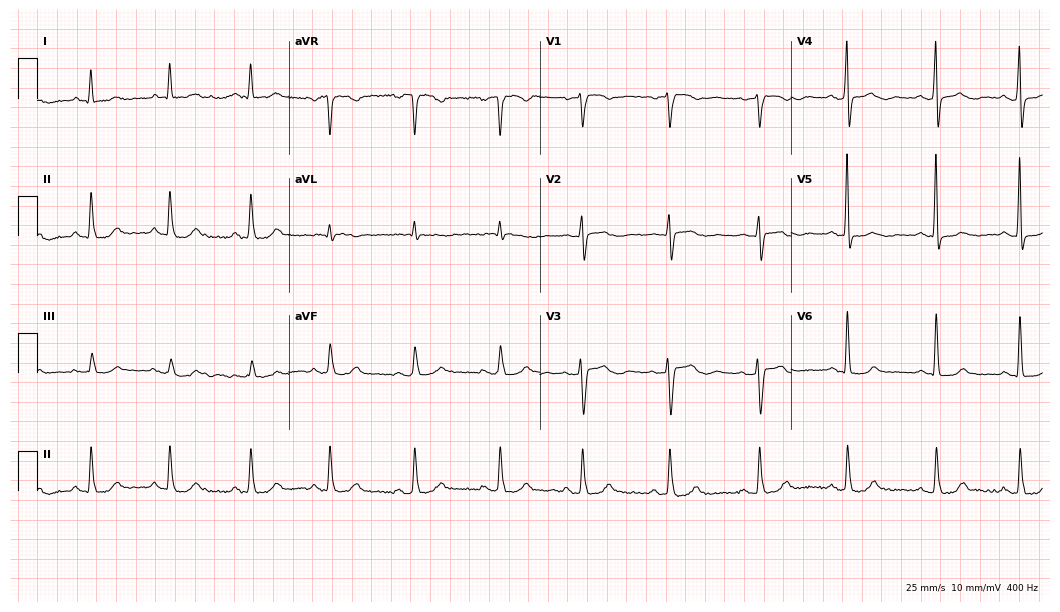
Standard 12-lead ECG recorded from a male, 71 years old. Read as a normal ECG.